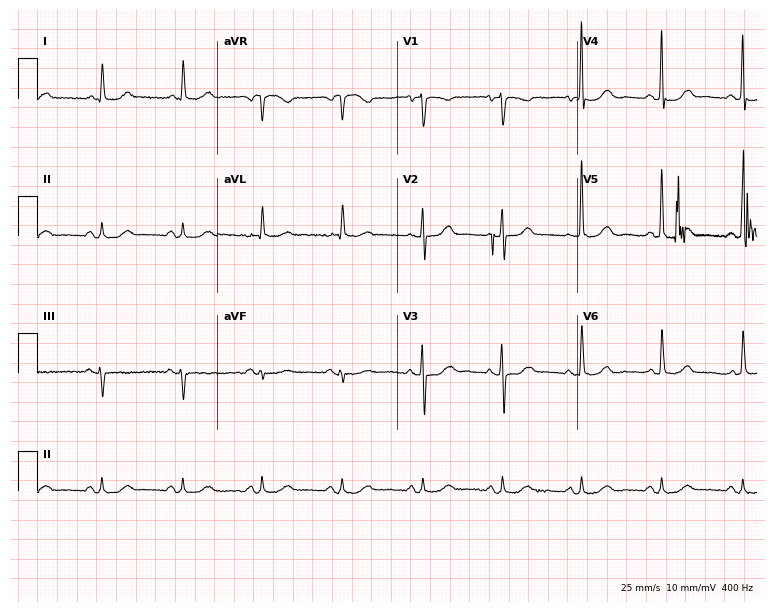
Resting 12-lead electrocardiogram. Patient: a female, 79 years old. None of these six findings is recorded: first-degree AV block, right bundle branch block, left bundle branch block, sinus bradycardia, atrial fibrillation, sinus tachycardia.